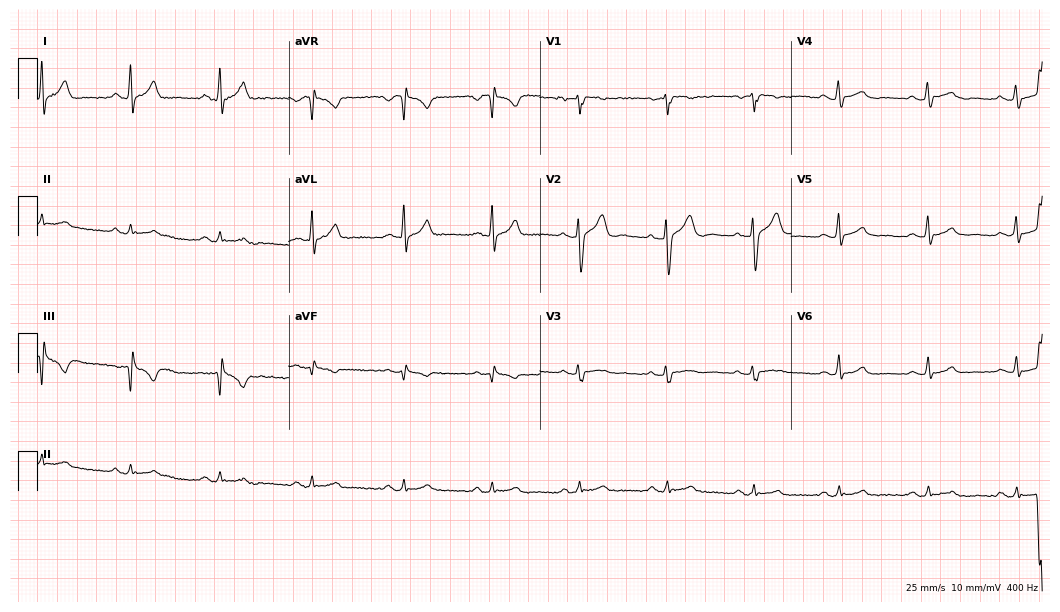
ECG — a 27-year-old male patient. Labelled as a normal ECG.